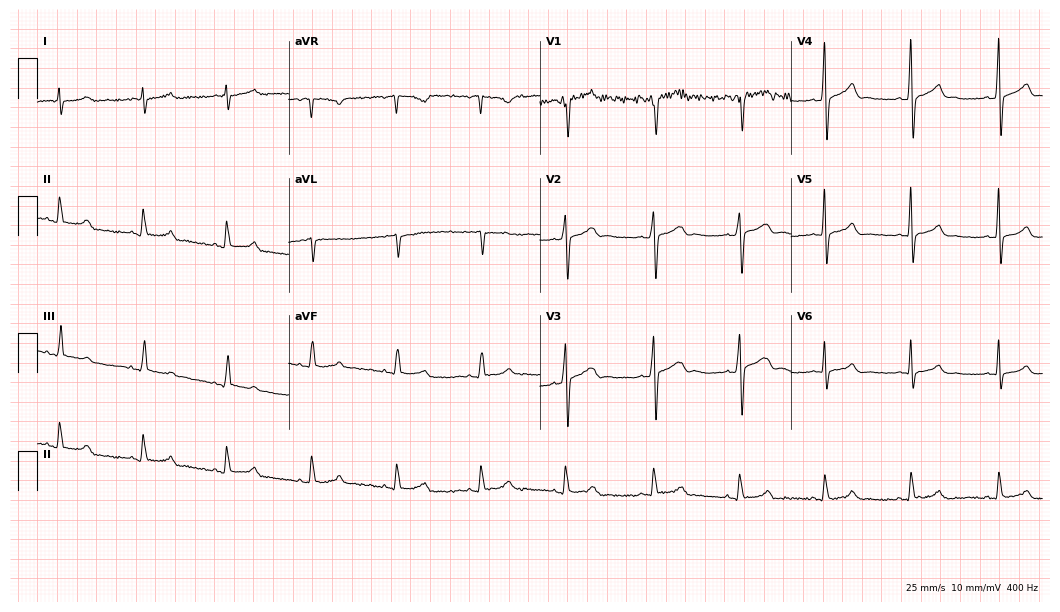
Electrocardiogram (10.2-second recording at 400 Hz), a 21-year-old male. Overall reading on record: normal ECG.